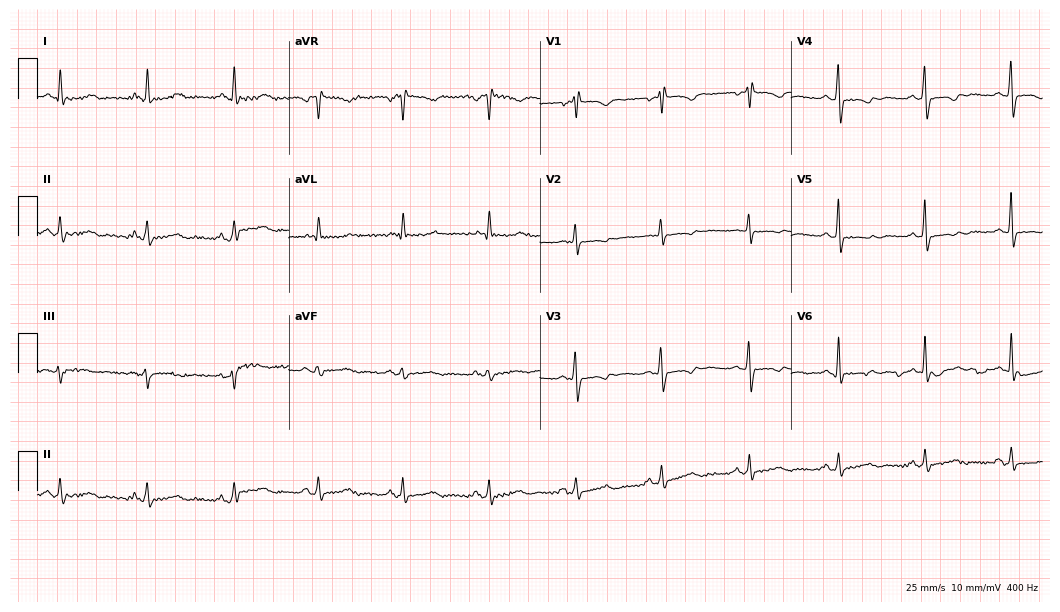
Standard 12-lead ECG recorded from a 67-year-old woman. None of these six findings is recorded: first-degree AV block, right bundle branch block (RBBB), left bundle branch block (LBBB), sinus bradycardia, atrial fibrillation (AF), sinus tachycardia. Other findings, if any, are not listed.